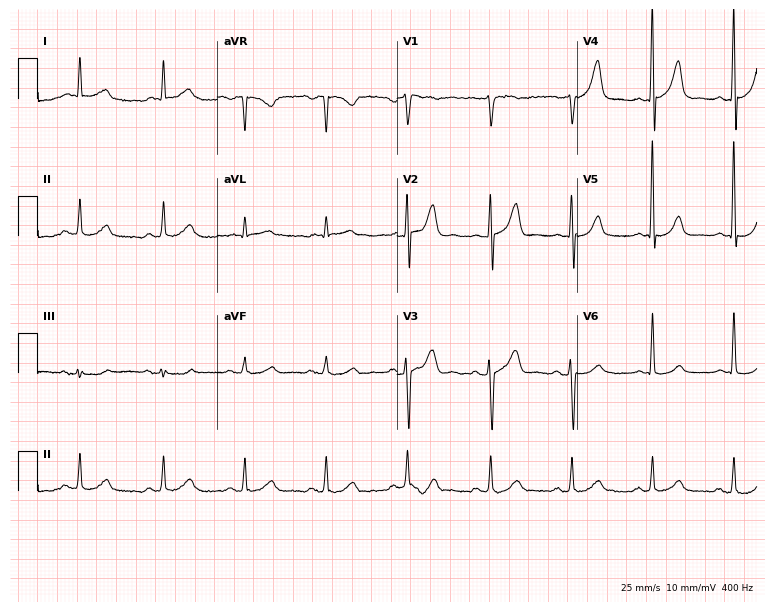
Standard 12-lead ECG recorded from a 53-year-old man (7.3-second recording at 400 Hz). None of these six findings is recorded: first-degree AV block, right bundle branch block, left bundle branch block, sinus bradycardia, atrial fibrillation, sinus tachycardia.